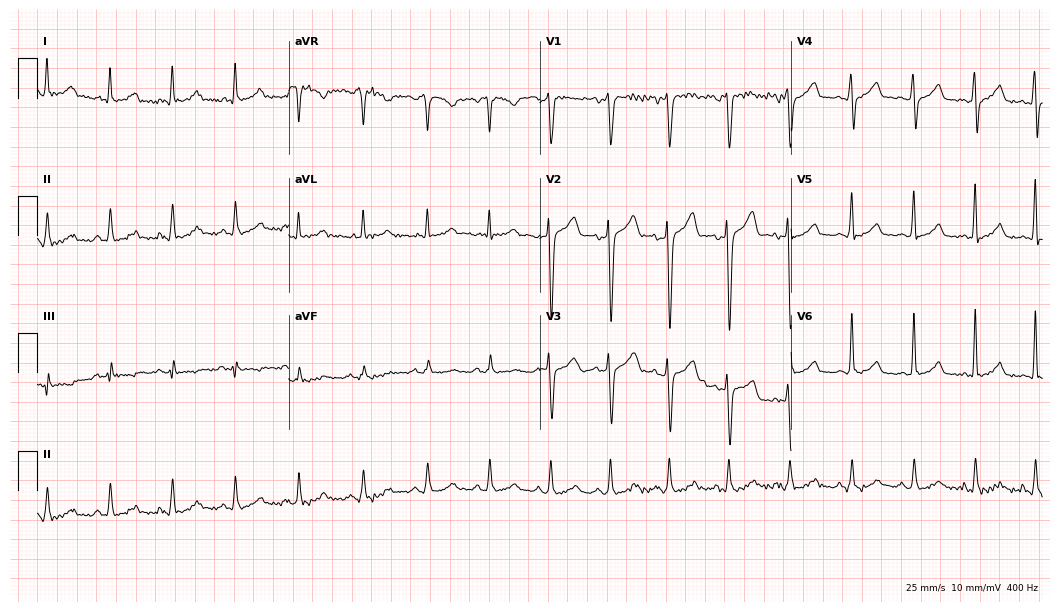
Standard 12-lead ECG recorded from a man, 41 years old (10.2-second recording at 400 Hz). None of these six findings is recorded: first-degree AV block, right bundle branch block, left bundle branch block, sinus bradycardia, atrial fibrillation, sinus tachycardia. Only these six findings were labelled.